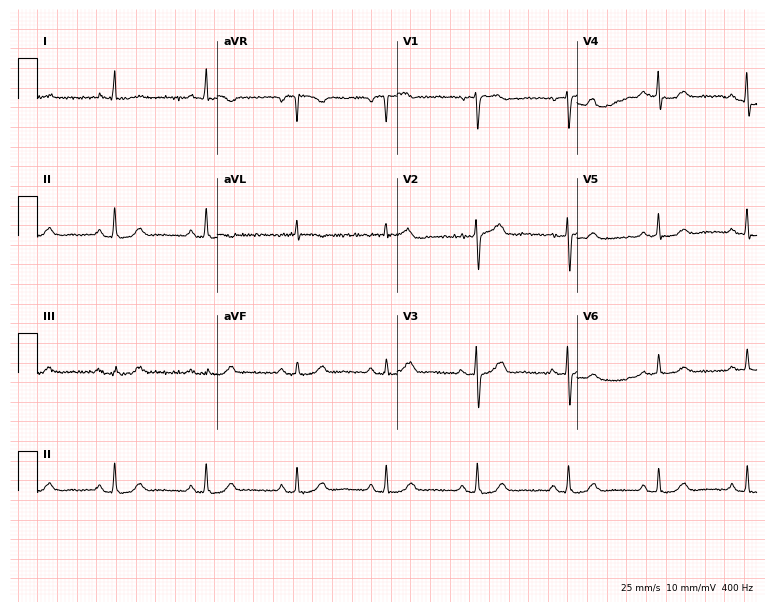
12-lead ECG (7.3-second recording at 400 Hz) from a female patient, 71 years old. Screened for six findings — first-degree AV block, right bundle branch block, left bundle branch block, sinus bradycardia, atrial fibrillation, sinus tachycardia — none is recorded.